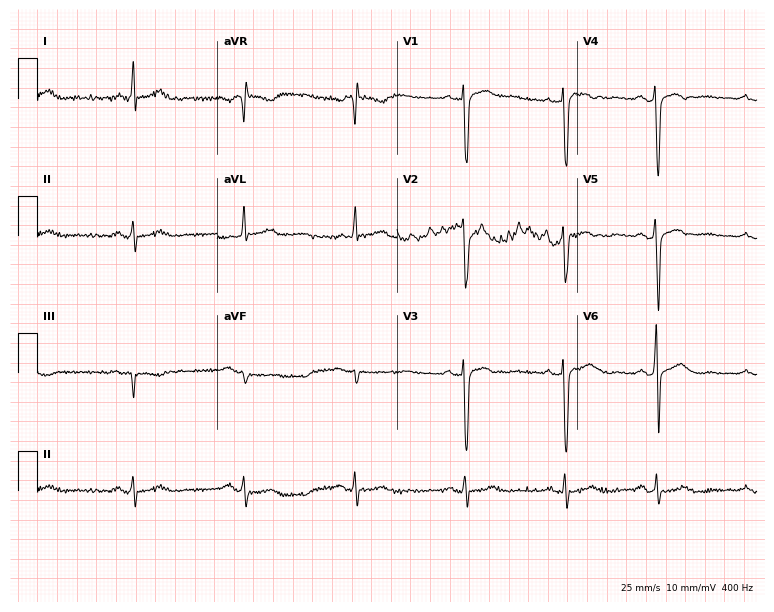
12-lead ECG from a man, 72 years old (7.3-second recording at 400 Hz). No first-degree AV block, right bundle branch block, left bundle branch block, sinus bradycardia, atrial fibrillation or sinus tachycardia recorded for this tracing. Findings outside these six are not listed.